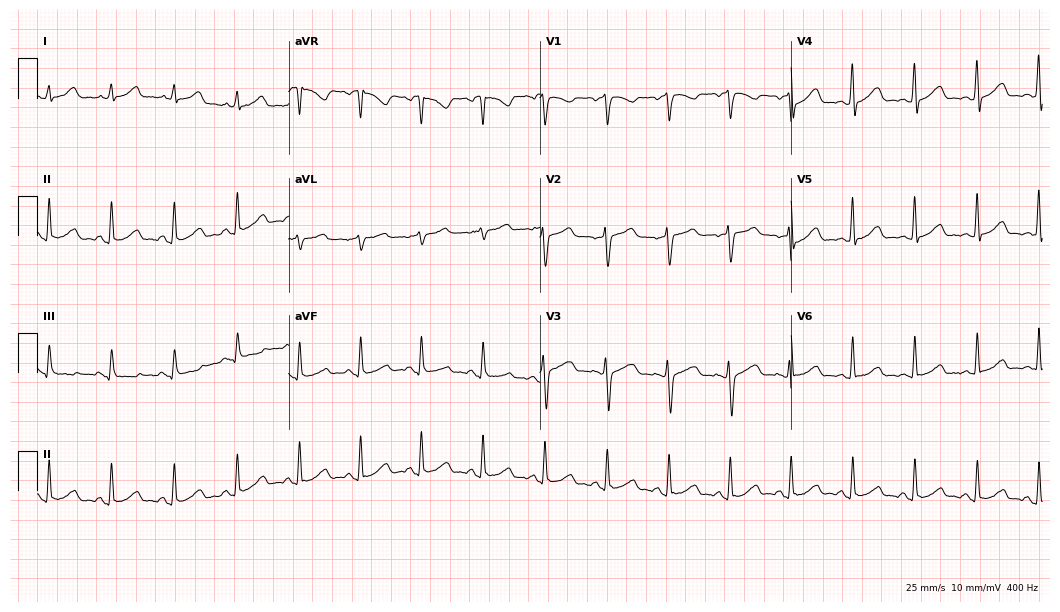
12-lead ECG from a 36-year-old female patient. Labelled as a normal ECG.